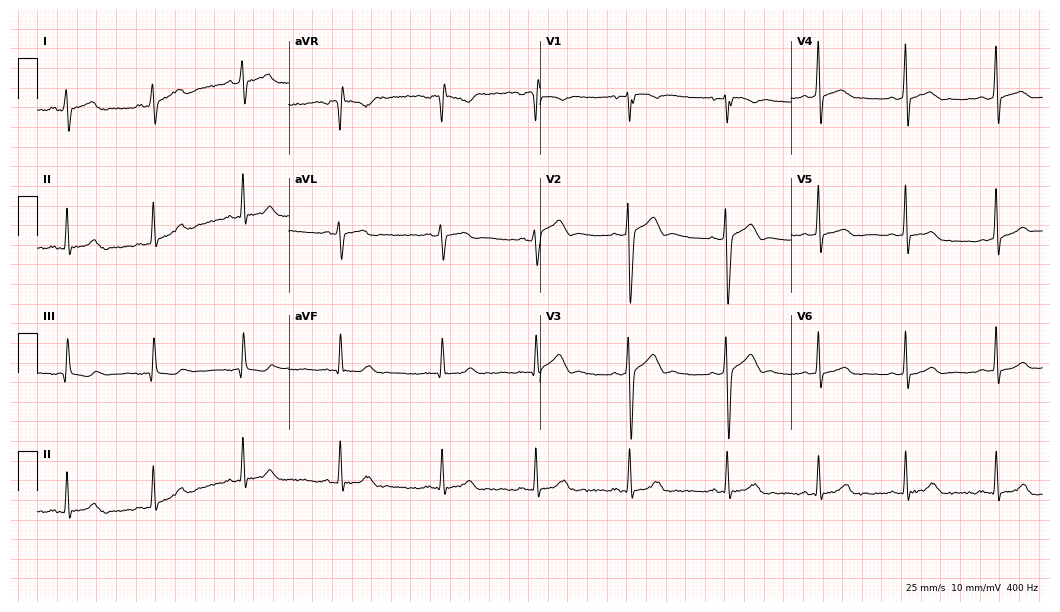
12-lead ECG from a male, 21 years old. Recorded interpretation: within normal limits.